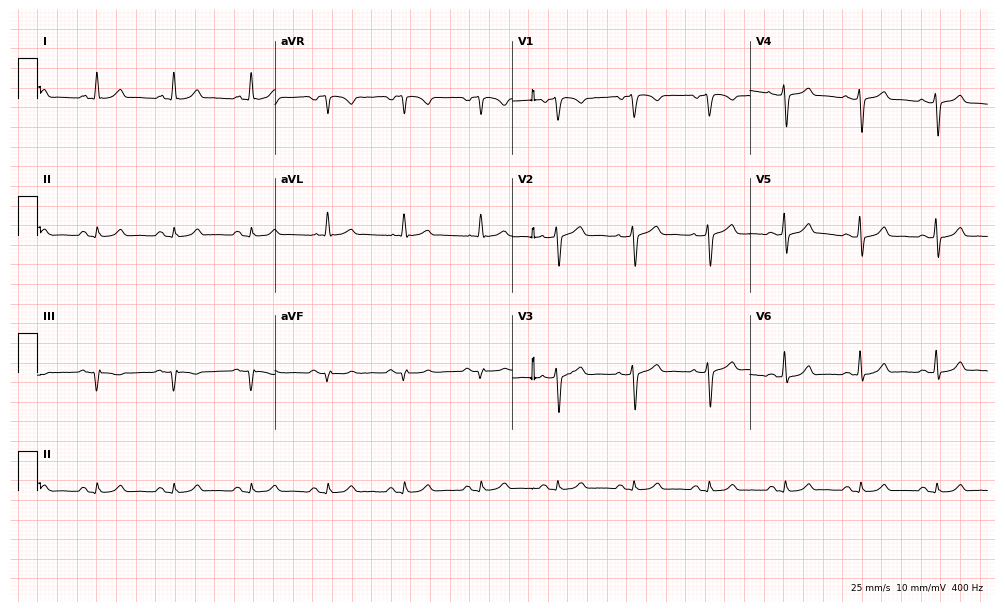
12-lead ECG from a 72-year-old man. Screened for six findings — first-degree AV block, right bundle branch block (RBBB), left bundle branch block (LBBB), sinus bradycardia, atrial fibrillation (AF), sinus tachycardia — none is recorded.